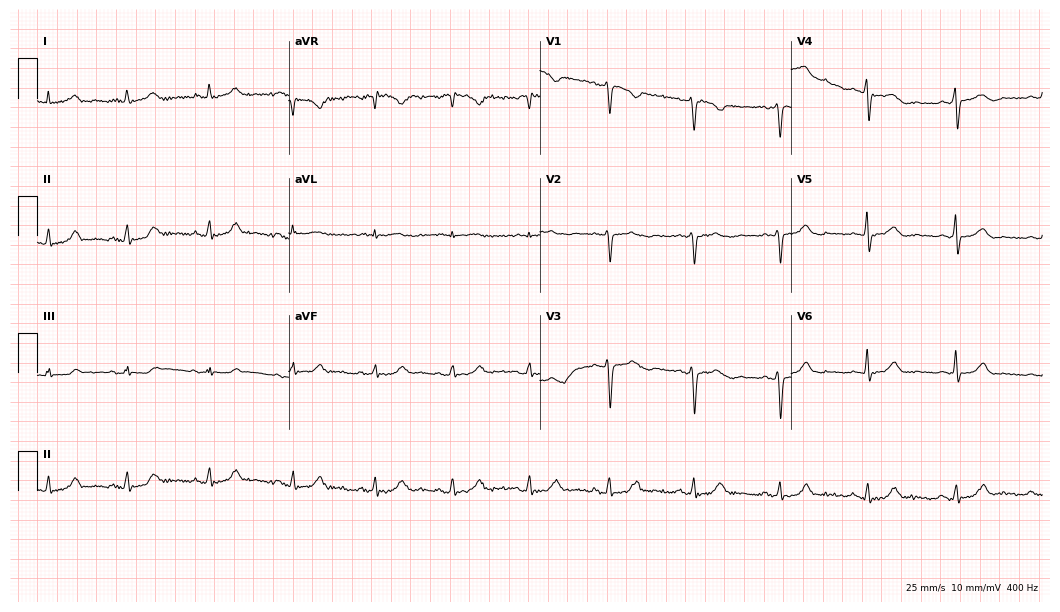
Standard 12-lead ECG recorded from a woman, 38 years old. None of these six findings is recorded: first-degree AV block, right bundle branch block (RBBB), left bundle branch block (LBBB), sinus bradycardia, atrial fibrillation (AF), sinus tachycardia. Only these six findings were labelled.